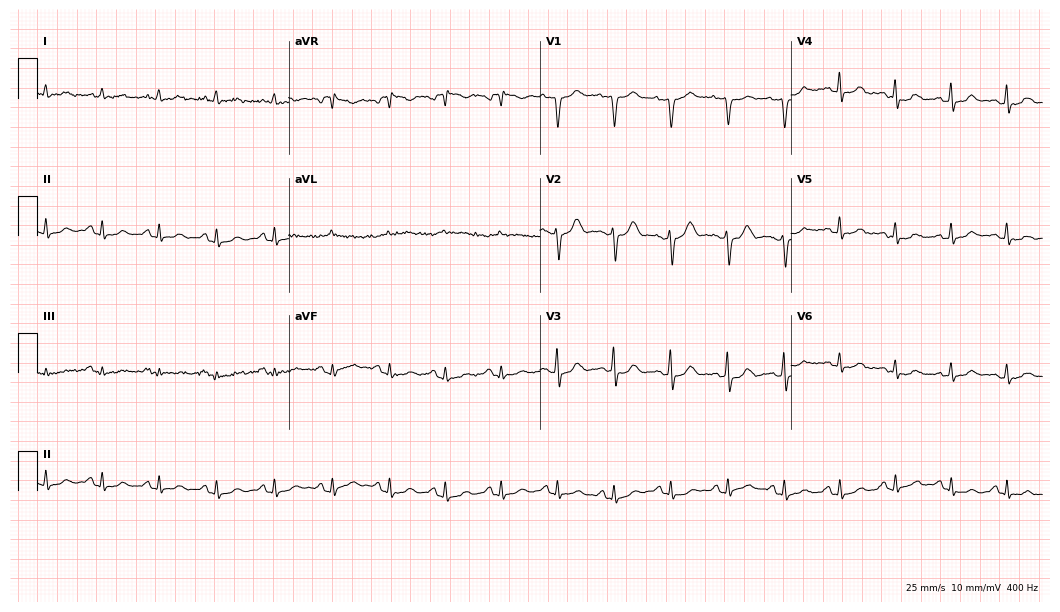
12-lead ECG (10.2-second recording at 400 Hz) from a 48-year-old female patient. Labelled as a normal ECG.